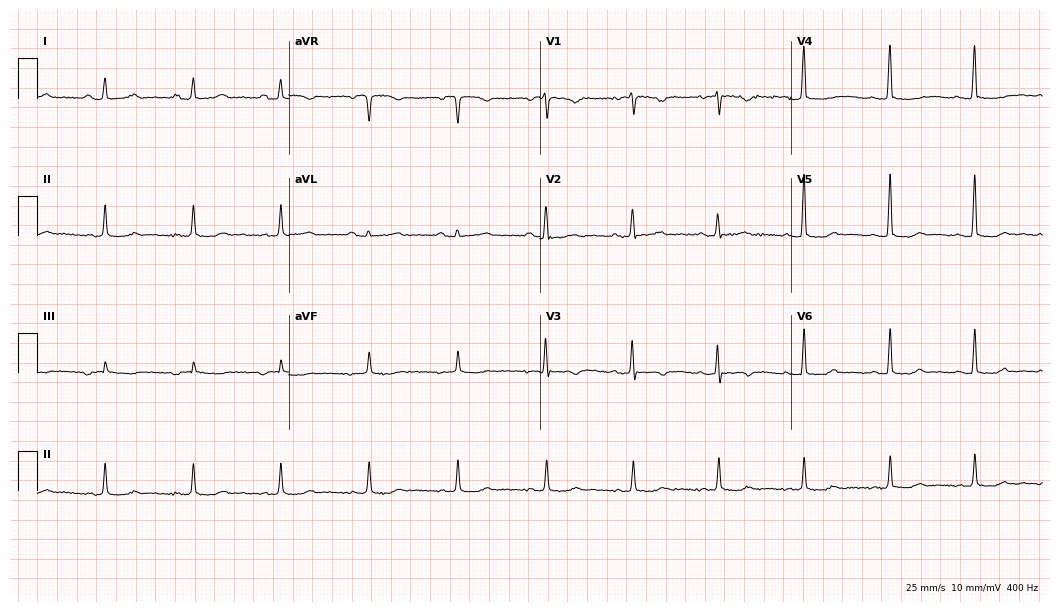
Electrocardiogram, a 57-year-old woman. Of the six screened findings (first-degree AV block, right bundle branch block, left bundle branch block, sinus bradycardia, atrial fibrillation, sinus tachycardia), none is recorded. Findings outside these six are not listed.